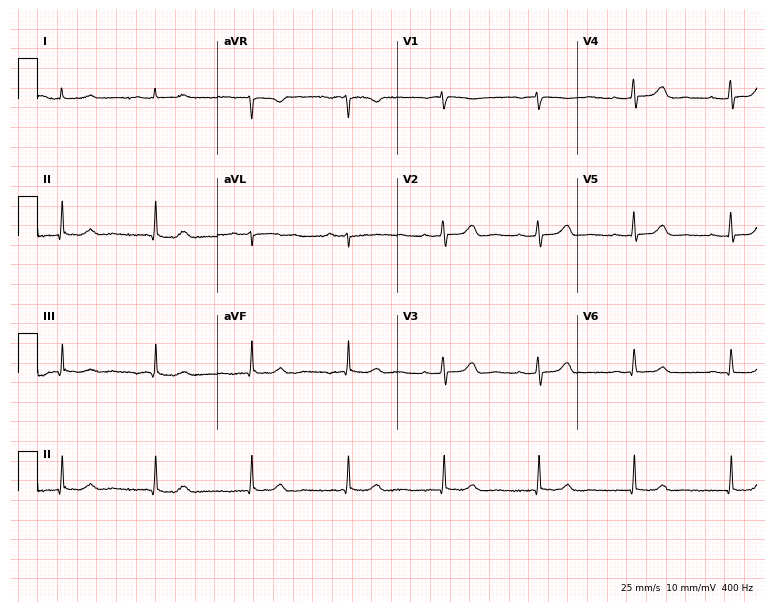
12-lead ECG from a woman, 51 years old. Recorded interpretation: within normal limits.